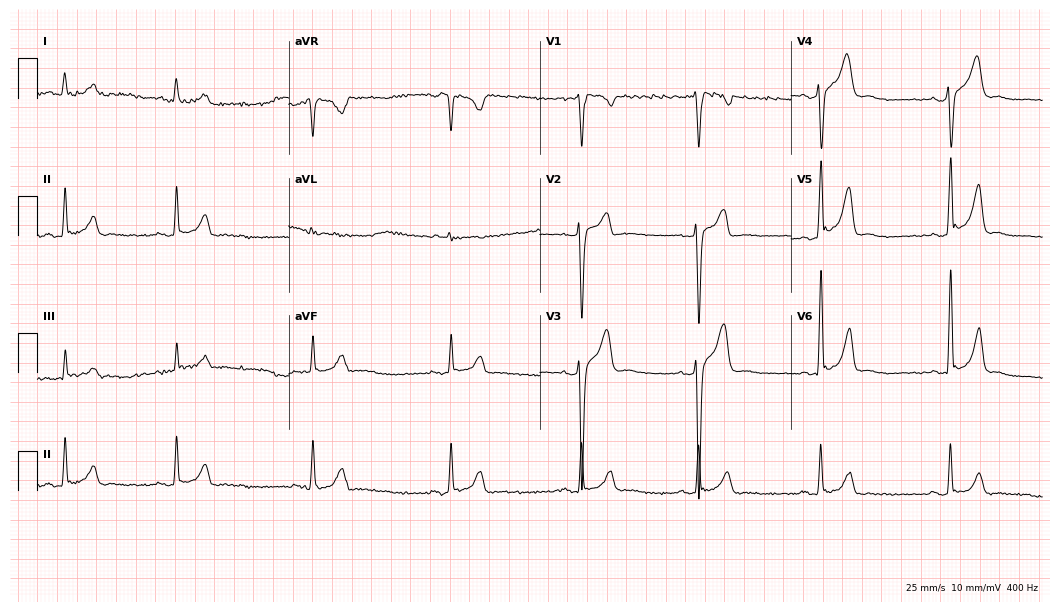
12-lead ECG from a man, 27 years old. Shows sinus bradycardia (a sinus rate of 50 beats per minute or less).